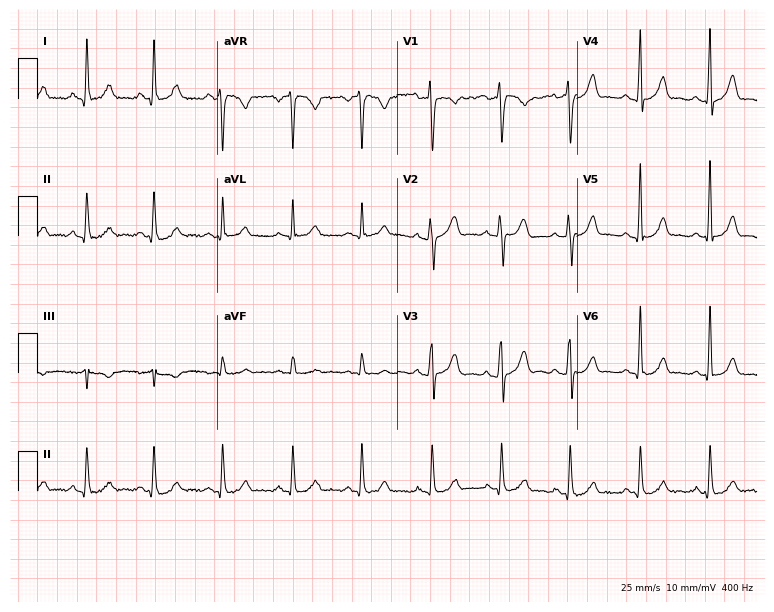
Resting 12-lead electrocardiogram. Patient: a 30-year-old woman. Read as a normal ECG.